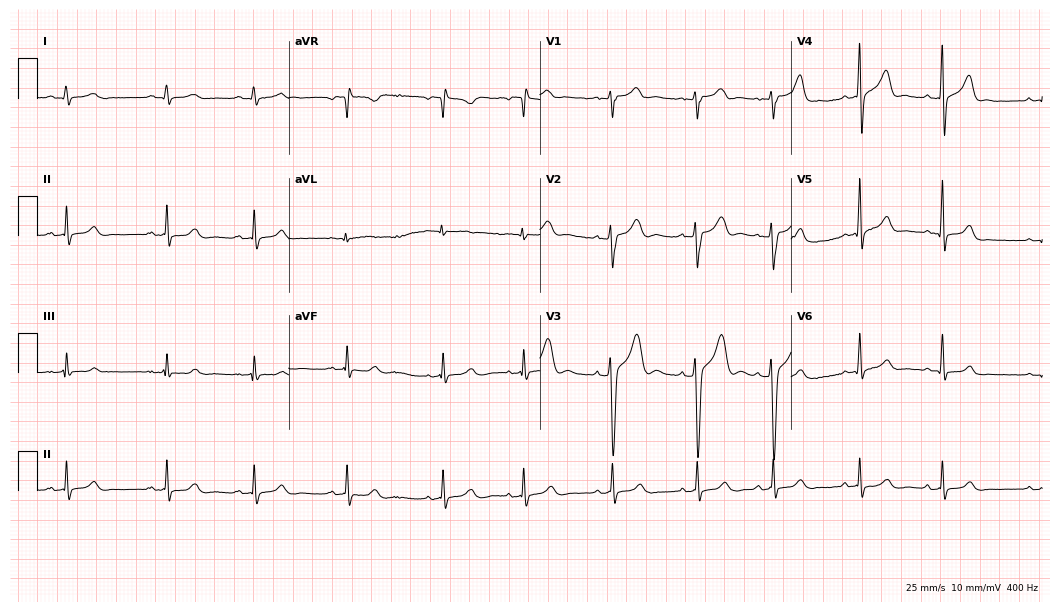
Electrocardiogram (10.2-second recording at 400 Hz), a 17-year-old male patient. Overall reading on record: normal ECG.